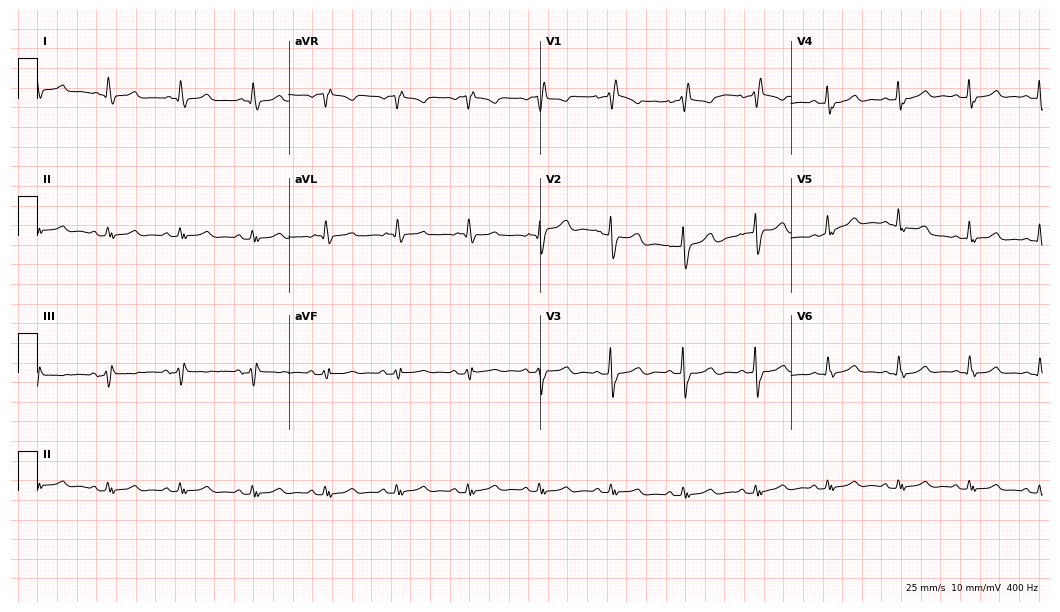
12-lead ECG from a female, 79 years old (10.2-second recording at 400 Hz). Shows right bundle branch block.